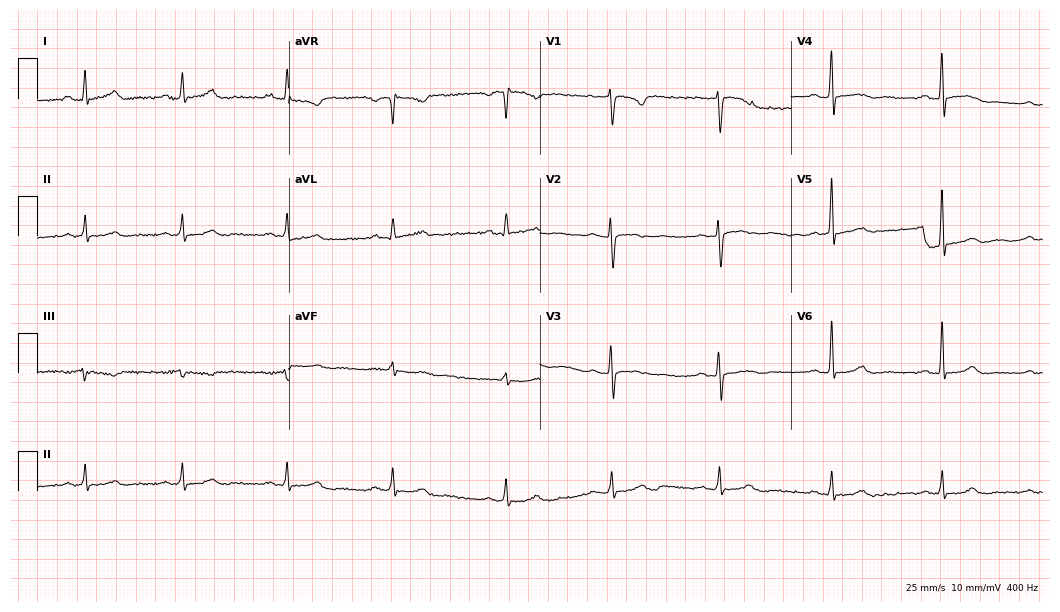
ECG — a female, 36 years old. Screened for six findings — first-degree AV block, right bundle branch block, left bundle branch block, sinus bradycardia, atrial fibrillation, sinus tachycardia — none is recorded. Other findings, if any, are not listed.